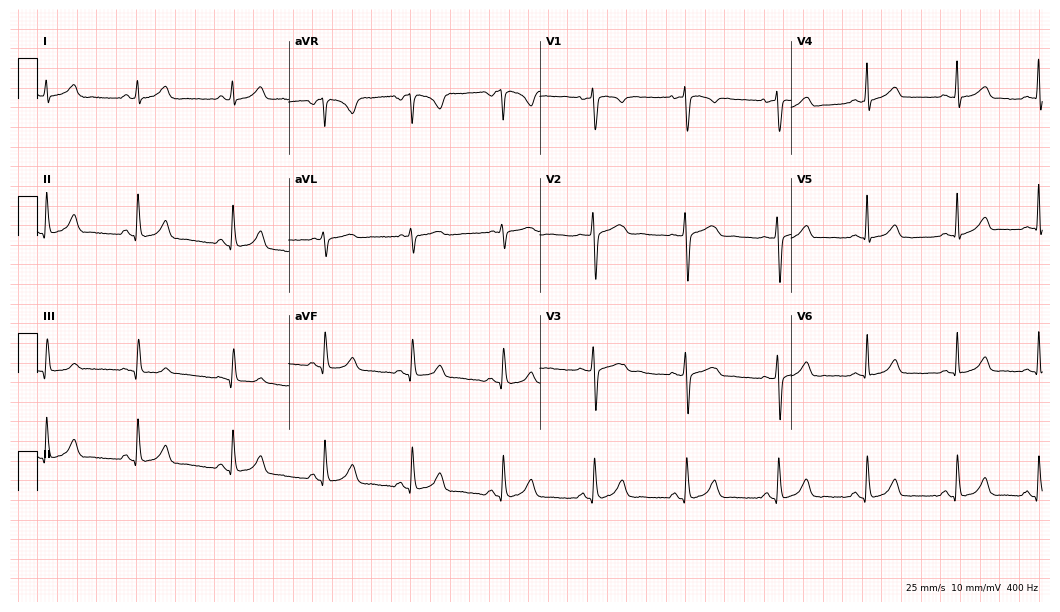
Electrocardiogram (10.2-second recording at 400 Hz), a female, 38 years old. Overall reading on record: normal ECG.